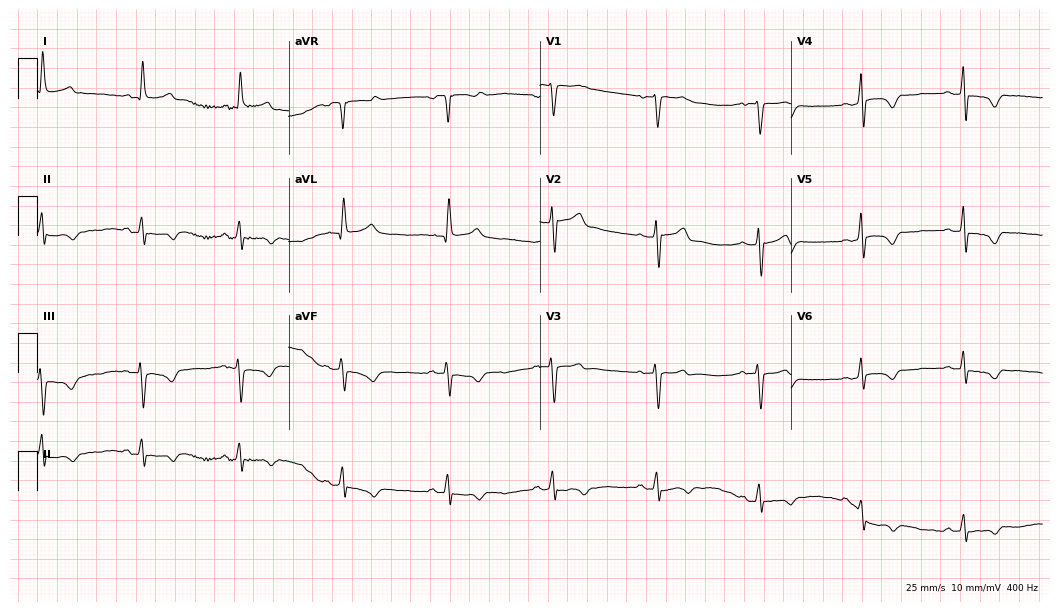
Standard 12-lead ECG recorded from a 67-year-old man. None of these six findings is recorded: first-degree AV block, right bundle branch block, left bundle branch block, sinus bradycardia, atrial fibrillation, sinus tachycardia. Only these six findings were labelled.